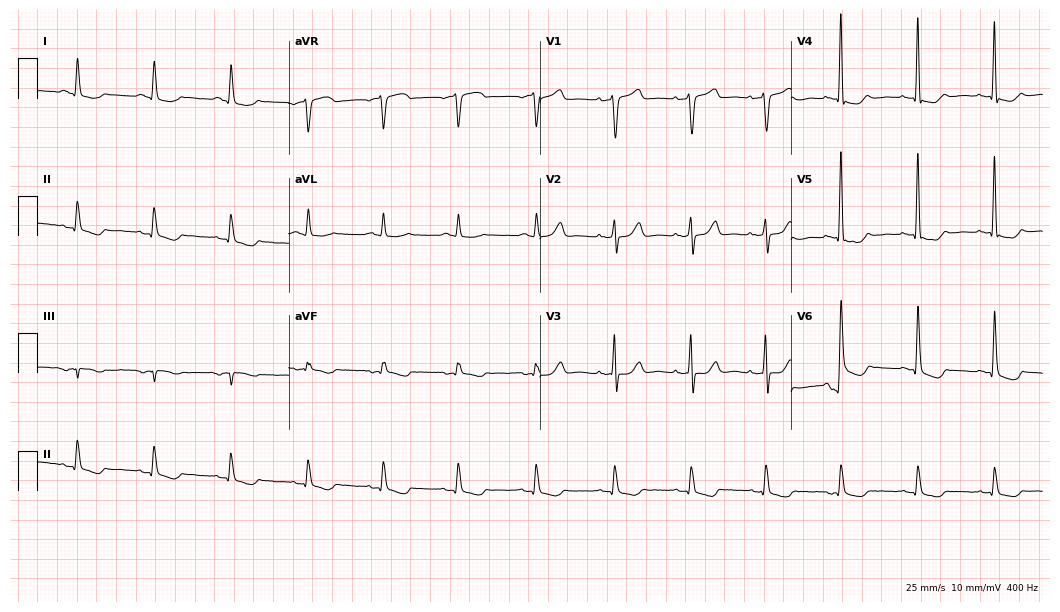
Standard 12-lead ECG recorded from a 70-year-old female patient (10.2-second recording at 400 Hz). None of these six findings is recorded: first-degree AV block, right bundle branch block, left bundle branch block, sinus bradycardia, atrial fibrillation, sinus tachycardia. Findings outside these six are not listed.